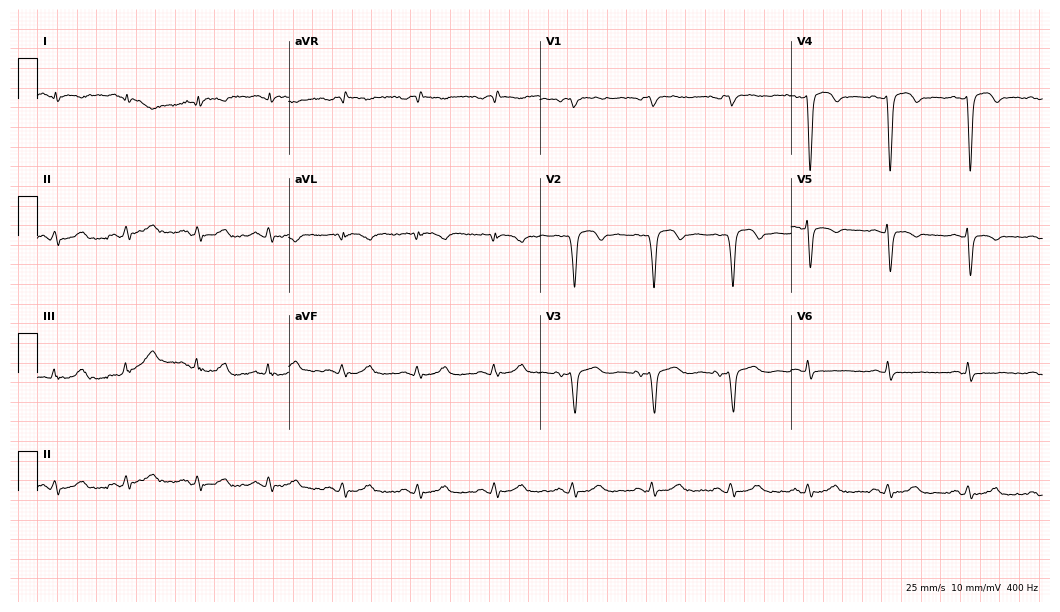
Electrocardiogram (10.2-second recording at 400 Hz), a man, 63 years old. Of the six screened findings (first-degree AV block, right bundle branch block, left bundle branch block, sinus bradycardia, atrial fibrillation, sinus tachycardia), none is recorded. Findings outside these six are not listed.